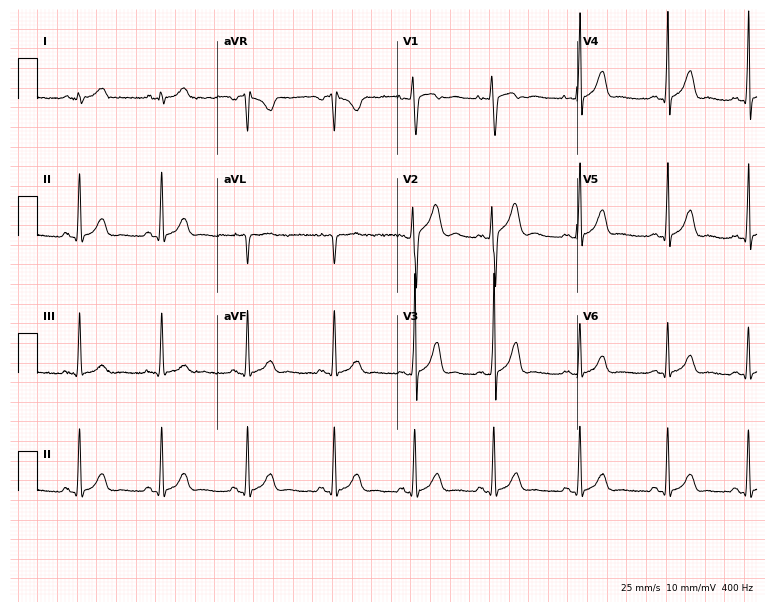
Resting 12-lead electrocardiogram. Patient: a woman, 22 years old. None of these six findings is recorded: first-degree AV block, right bundle branch block (RBBB), left bundle branch block (LBBB), sinus bradycardia, atrial fibrillation (AF), sinus tachycardia.